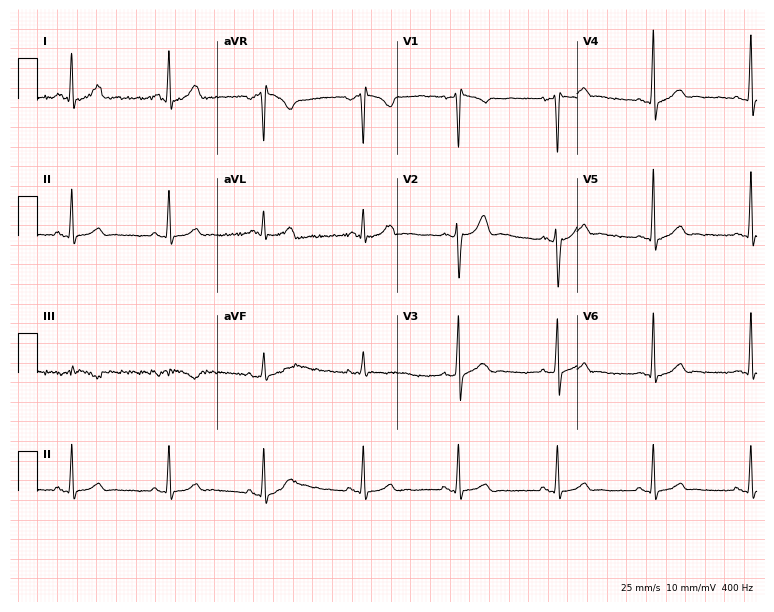
12-lead ECG (7.3-second recording at 400 Hz) from a male, 41 years old. Labelled as a normal ECG.